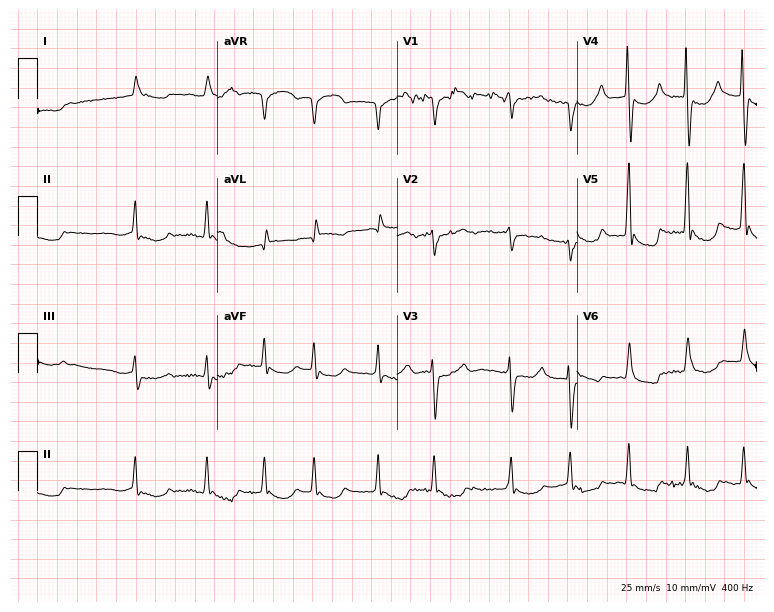
Standard 12-lead ECG recorded from a woman, 68 years old (7.3-second recording at 400 Hz). The tracing shows atrial fibrillation (AF).